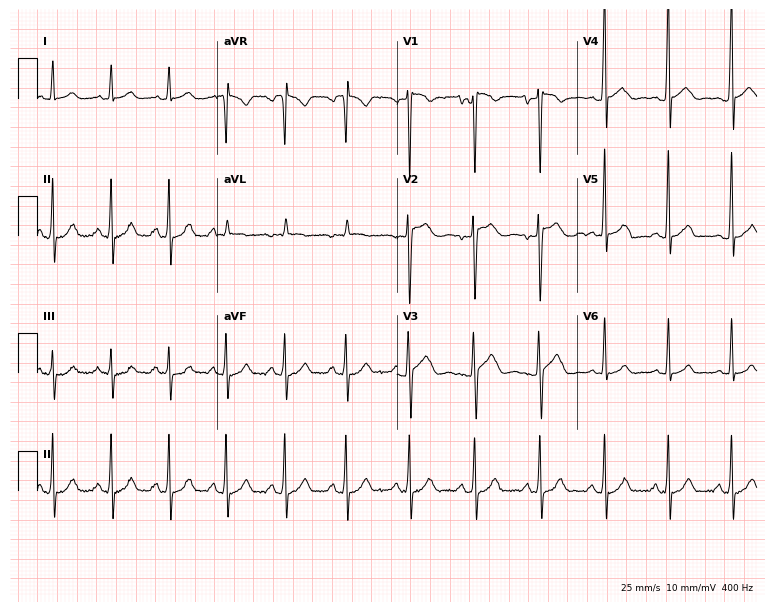
12-lead ECG from a 17-year-old male. No first-degree AV block, right bundle branch block, left bundle branch block, sinus bradycardia, atrial fibrillation or sinus tachycardia recorded for this tracing. Findings outside these six are not listed.